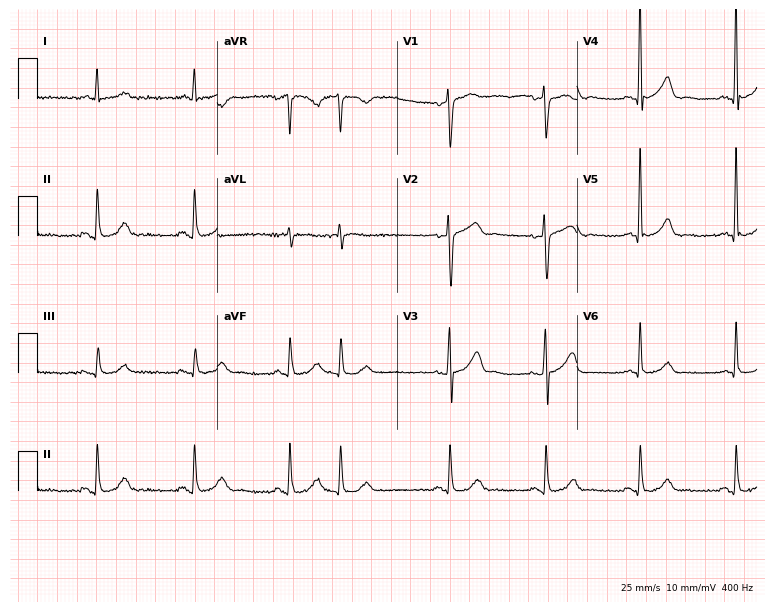
Electrocardiogram (7.3-second recording at 400 Hz), a man, 76 years old. Overall reading on record: normal ECG.